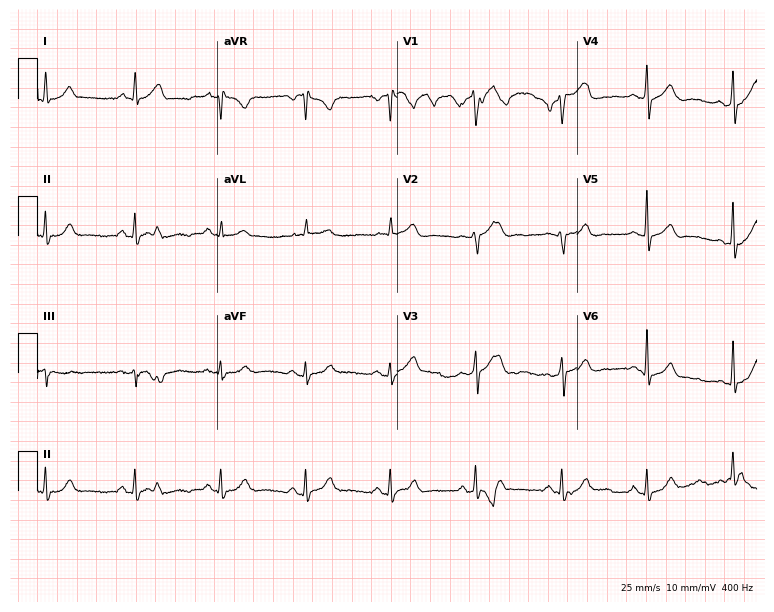
Electrocardiogram (7.3-second recording at 400 Hz), a 60-year-old man. Overall reading on record: normal ECG.